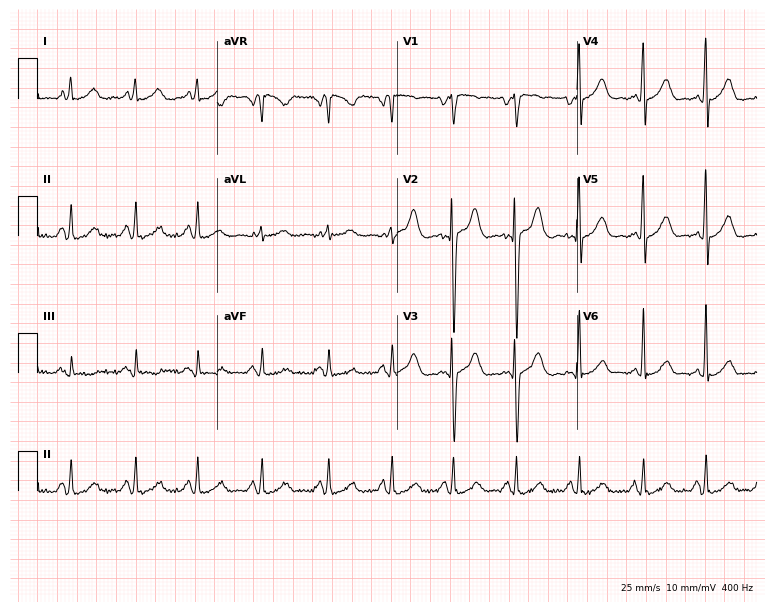
Electrocardiogram, a female, 24 years old. Of the six screened findings (first-degree AV block, right bundle branch block (RBBB), left bundle branch block (LBBB), sinus bradycardia, atrial fibrillation (AF), sinus tachycardia), none is recorded.